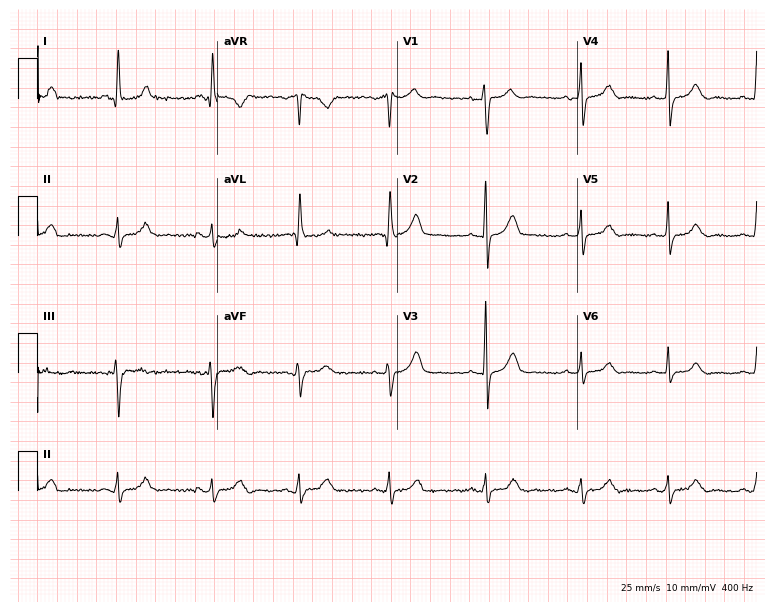
12-lead ECG from a female, 47 years old. Labelled as a normal ECG.